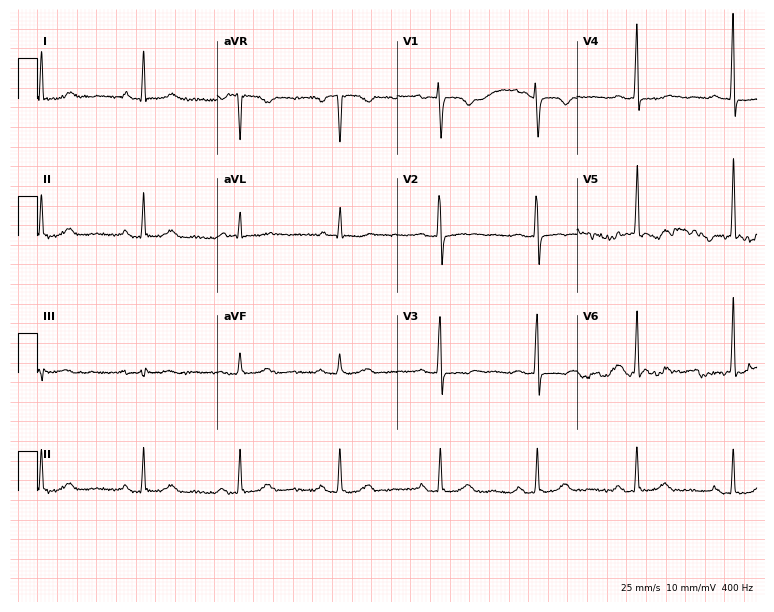
12-lead ECG from a woman, 52 years old (7.3-second recording at 400 Hz). Recorded interpretation: within normal limits.